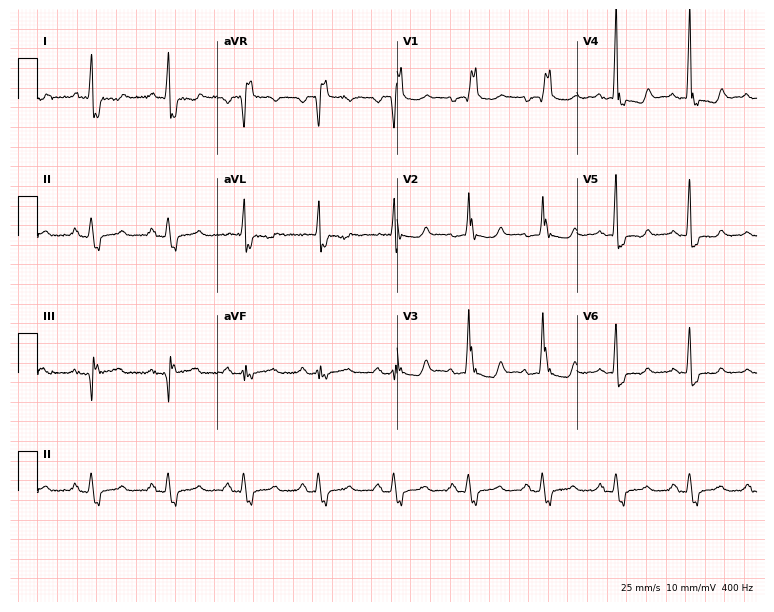
Electrocardiogram (7.3-second recording at 400 Hz), a female, 72 years old. Interpretation includes right bundle branch block.